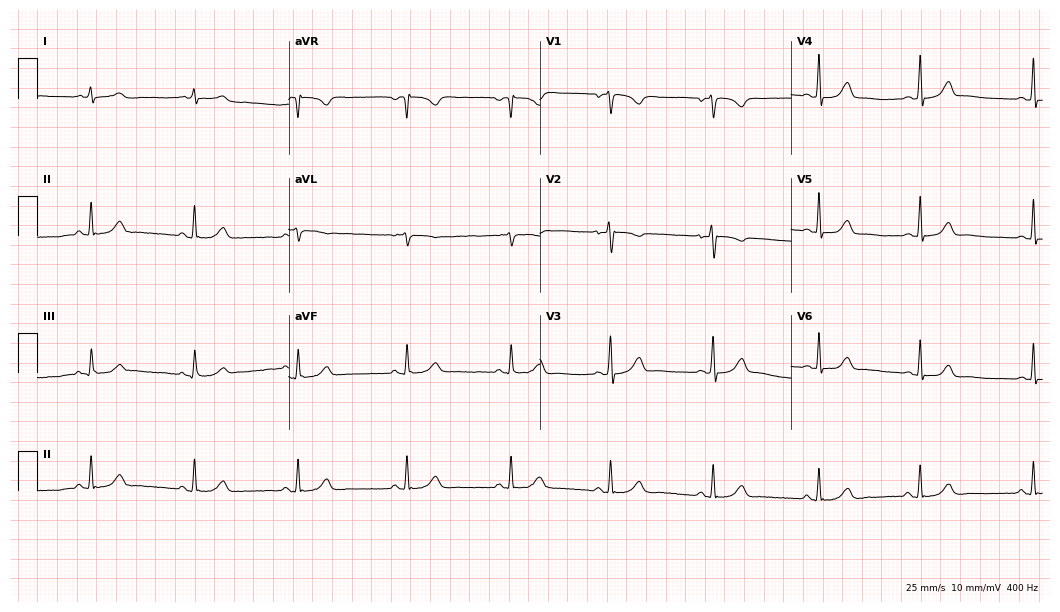
Electrocardiogram (10.2-second recording at 400 Hz), a woman, 33 years old. Overall reading on record: normal ECG.